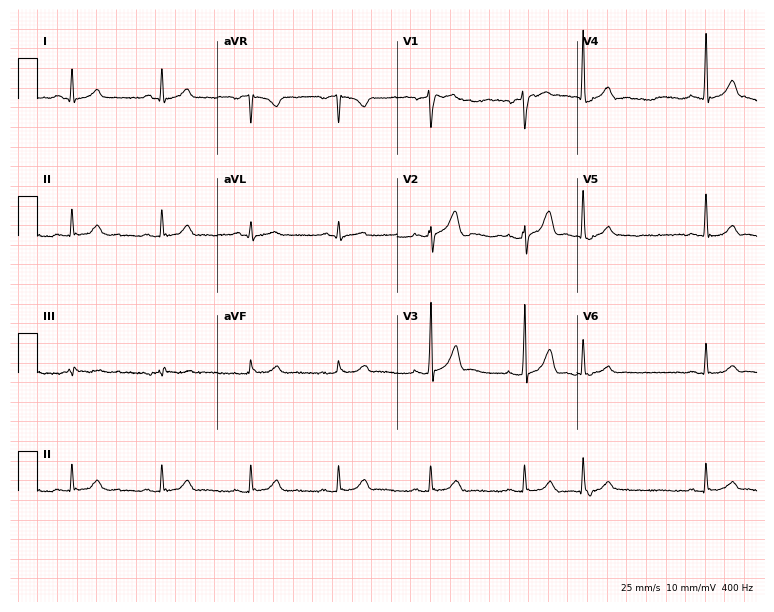
Electrocardiogram, a 40-year-old male patient. Of the six screened findings (first-degree AV block, right bundle branch block (RBBB), left bundle branch block (LBBB), sinus bradycardia, atrial fibrillation (AF), sinus tachycardia), none is recorded.